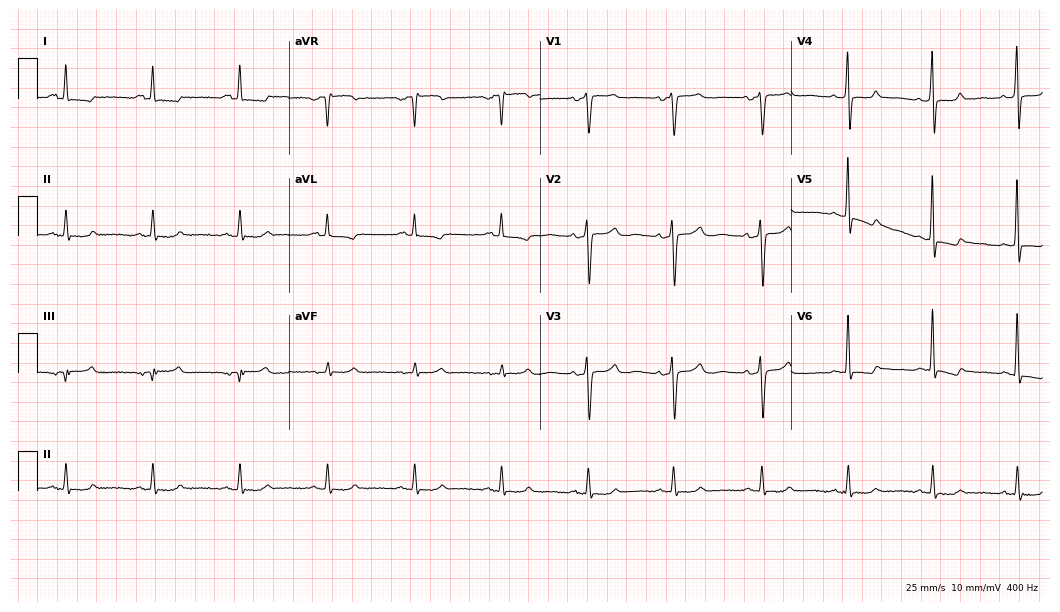
ECG — a female, 55 years old. Screened for six findings — first-degree AV block, right bundle branch block (RBBB), left bundle branch block (LBBB), sinus bradycardia, atrial fibrillation (AF), sinus tachycardia — none is recorded.